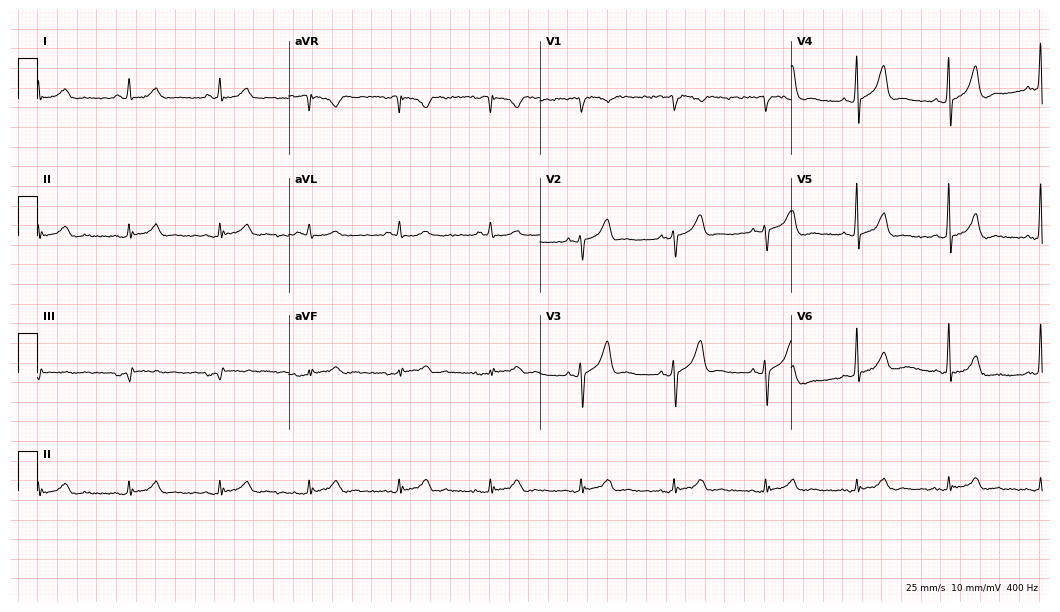
12-lead ECG from a 58-year-old man. Screened for six findings — first-degree AV block, right bundle branch block, left bundle branch block, sinus bradycardia, atrial fibrillation, sinus tachycardia — none is recorded. Only these six findings were labelled.